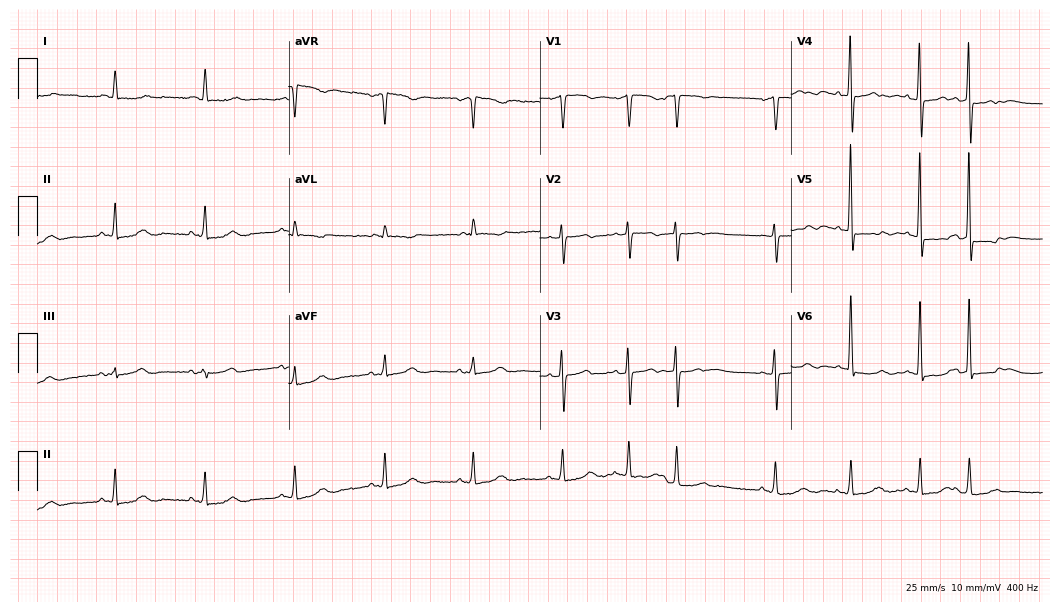
Resting 12-lead electrocardiogram (10.2-second recording at 400 Hz). Patient: a male, 85 years old. None of these six findings is recorded: first-degree AV block, right bundle branch block (RBBB), left bundle branch block (LBBB), sinus bradycardia, atrial fibrillation (AF), sinus tachycardia. Other findings, if any, are not listed.